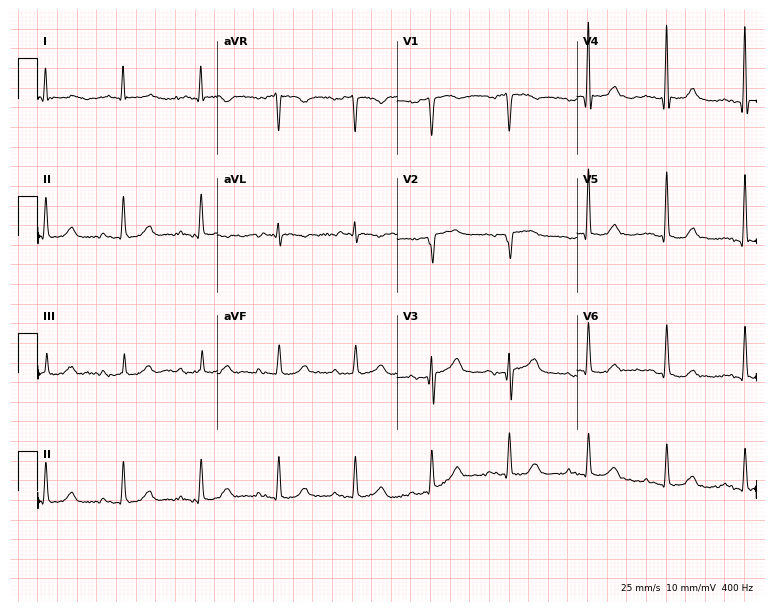
ECG (7.3-second recording at 400 Hz) — an 82-year-old female patient. Screened for six findings — first-degree AV block, right bundle branch block (RBBB), left bundle branch block (LBBB), sinus bradycardia, atrial fibrillation (AF), sinus tachycardia — none is recorded. Findings outside these six are not listed.